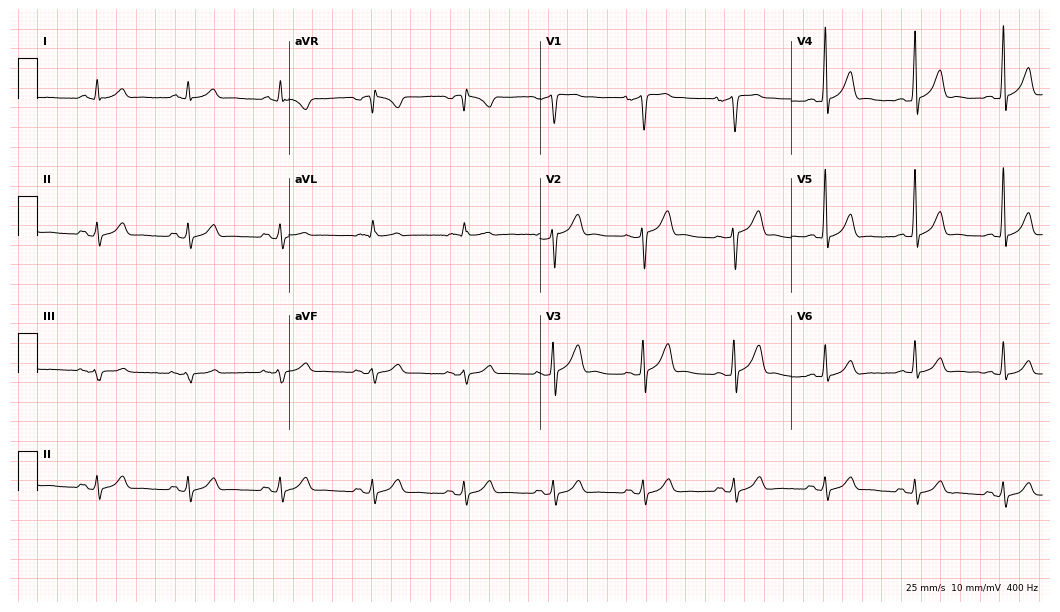
12-lead ECG from a 61-year-old male patient. Recorded interpretation: within normal limits.